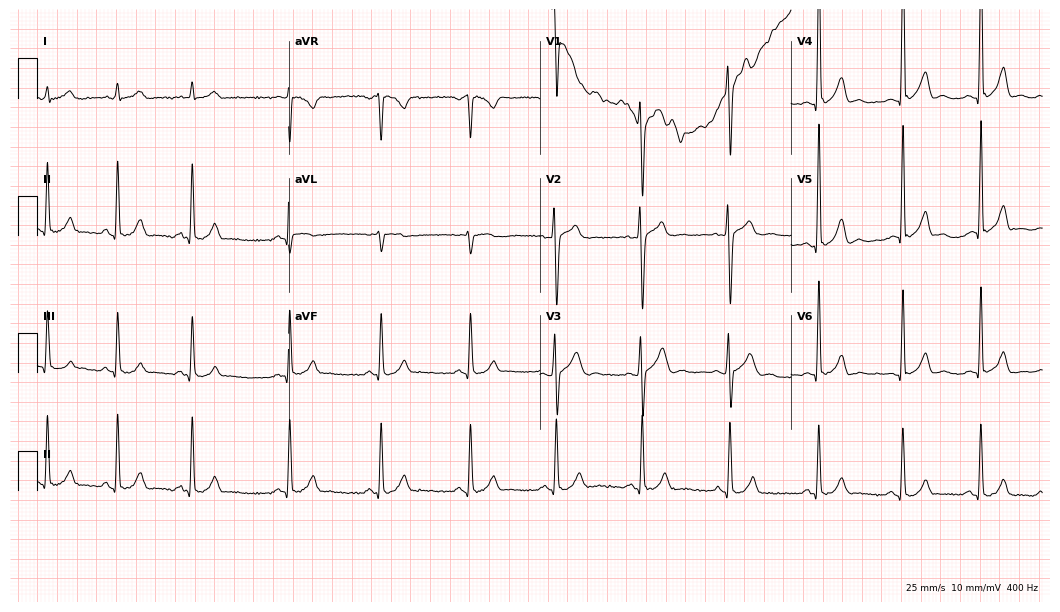
Standard 12-lead ECG recorded from a 19-year-old man. Read as a normal ECG.